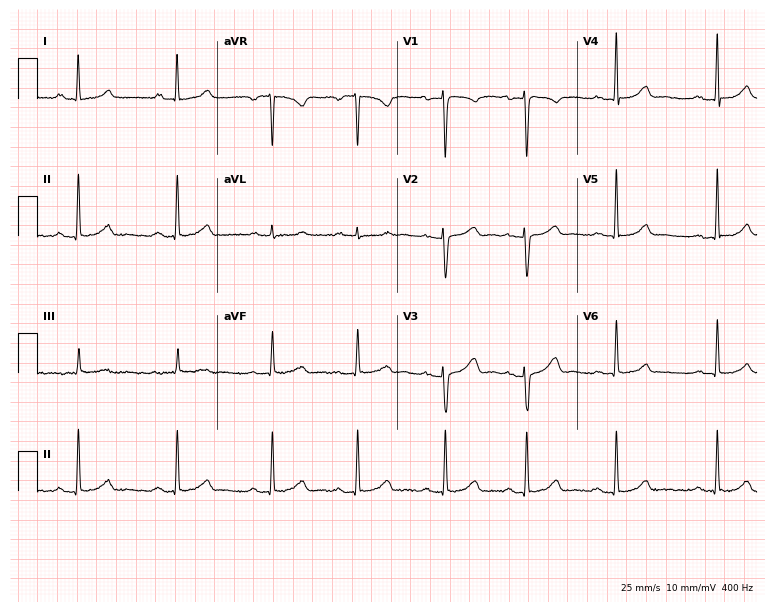
12-lead ECG from a female, 30 years old (7.3-second recording at 400 Hz). No first-degree AV block, right bundle branch block (RBBB), left bundle branch block (LBBB), sinus bradycardia, atrial fibrillation (AF) or sinus tachycardia recorded for this tracing.